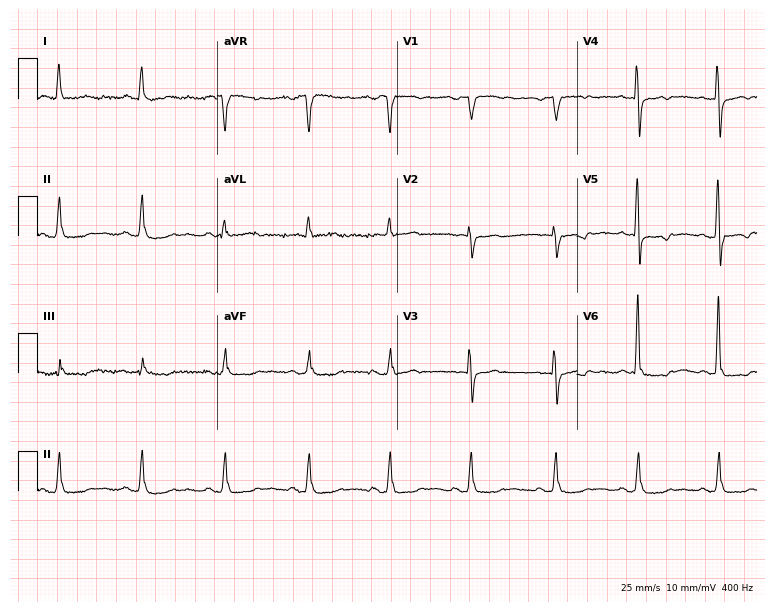
Electrocardiogram (7.3-second recording at 400 Hz), a 30-year-old woman. Of the six screened findings (first-degree AV block, right bundle branch block, left bundle branch block, sinus bradycardia, atrial fibrillation, sinus tachycardia), none is recorded. Only these six findings were labelled.